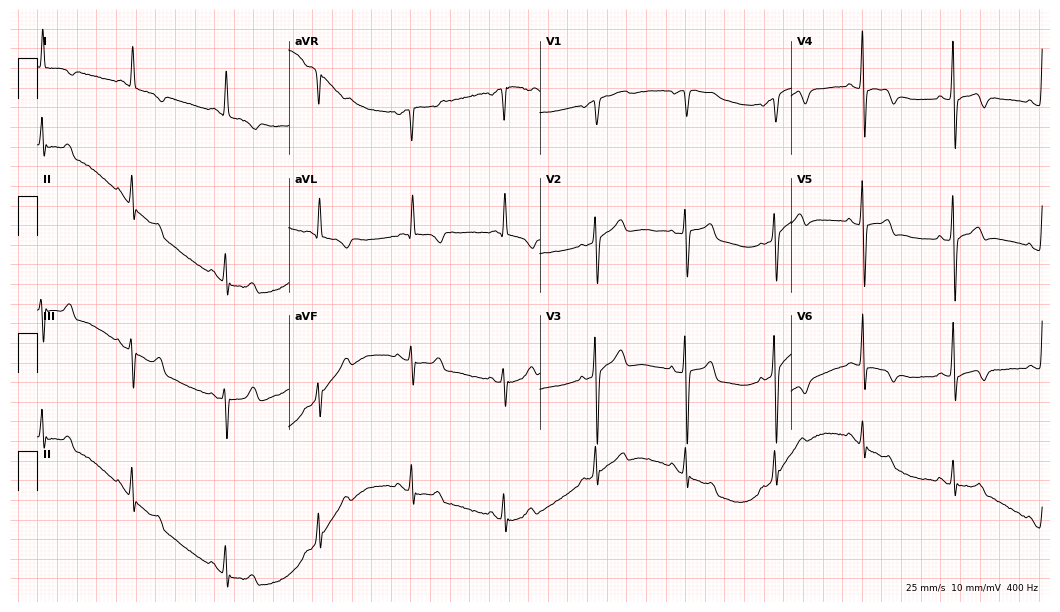
Electrocardiogram, a woman, 83 years old. Of the six screened findings (first-degree AV block, right bundle branch block, left bundle branch block, sinus bradycardia, atrial fibrillation, sinus tachycardia), none is recorded. Findings outside these six are not listed.